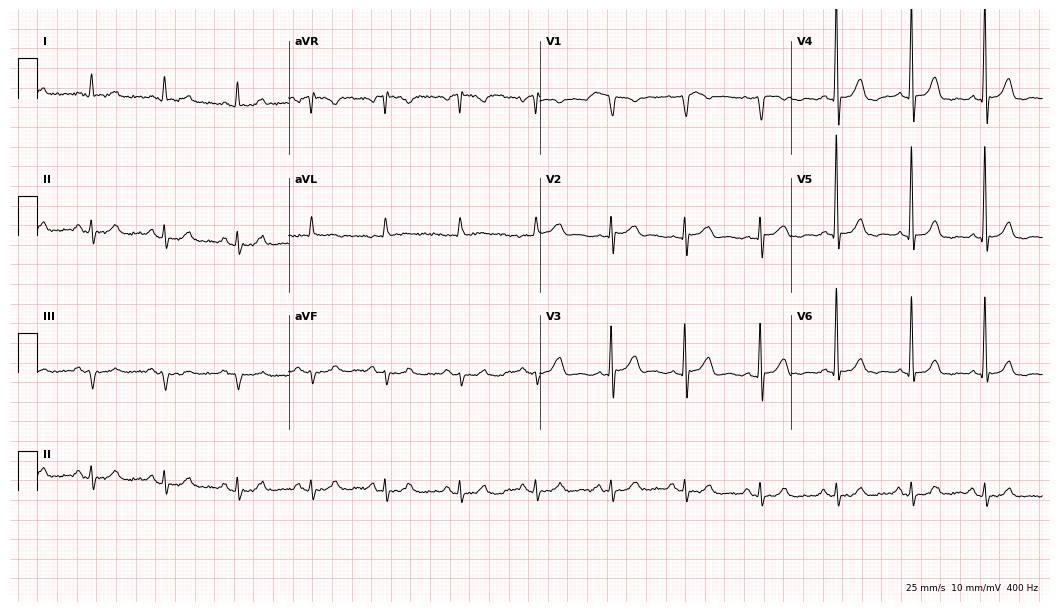
12-lead ECG (10.2-second recording at 400 Hz) from a man, 73 years old. Labelled as a normal ECG.